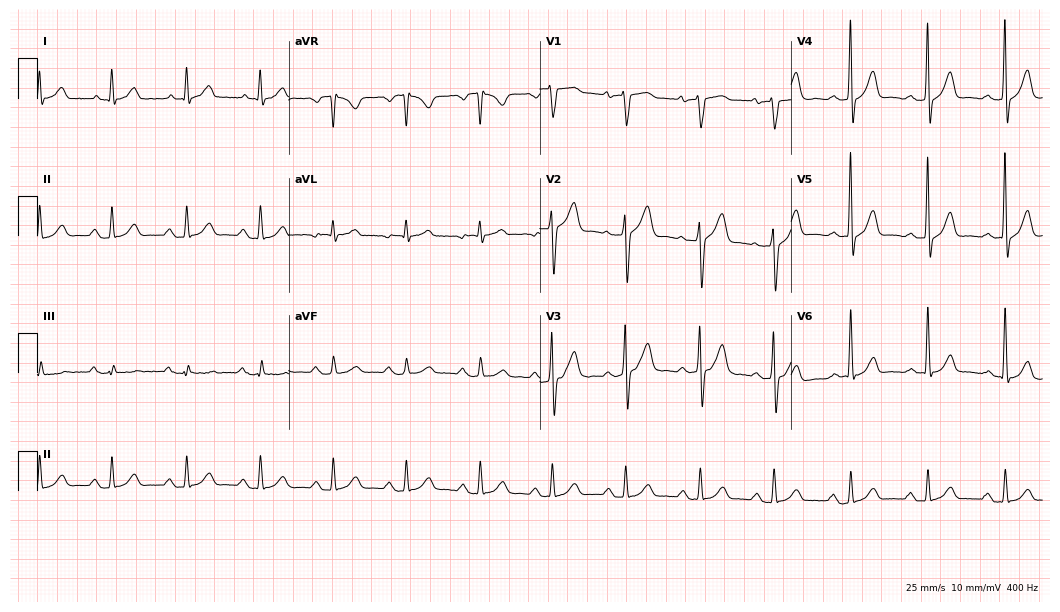
ECG (10.2-second recording at 400 Hz) — a 58-year-old male patient. Labelled as a normal ECG.